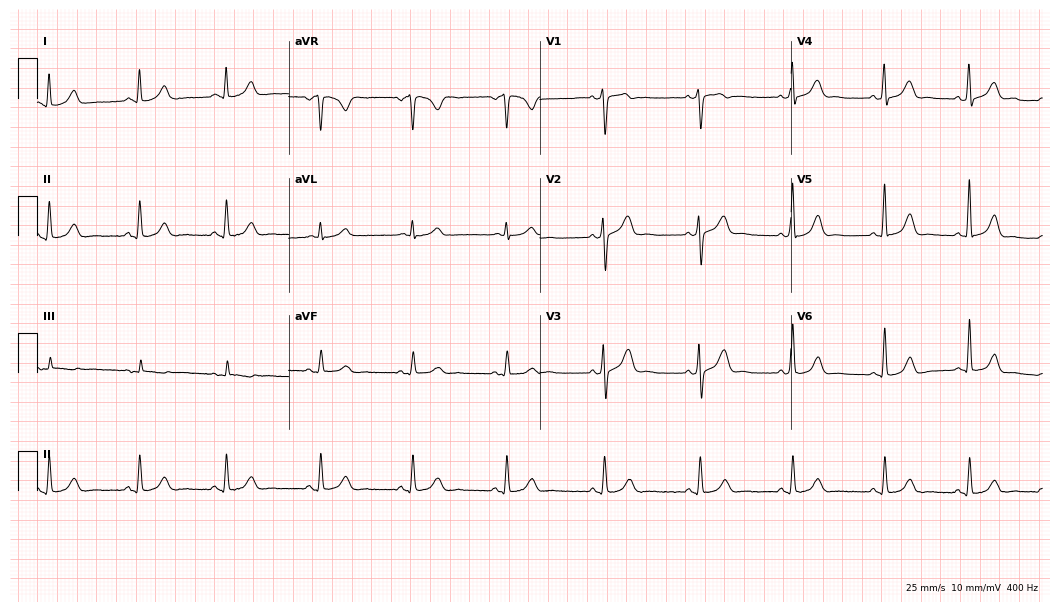
12-lead ECG from a 36-year-old female. Recorded interpretation: within normal limits.